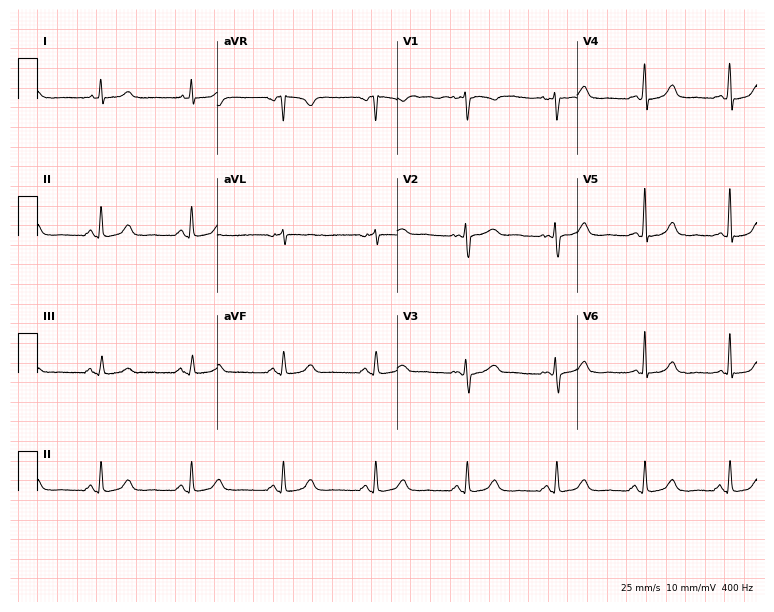
Resting 12-lead electrocardiogram (7.3-second recording at 400 Hz). Patient: a woman, 44 years old. Read as a normal ECG.